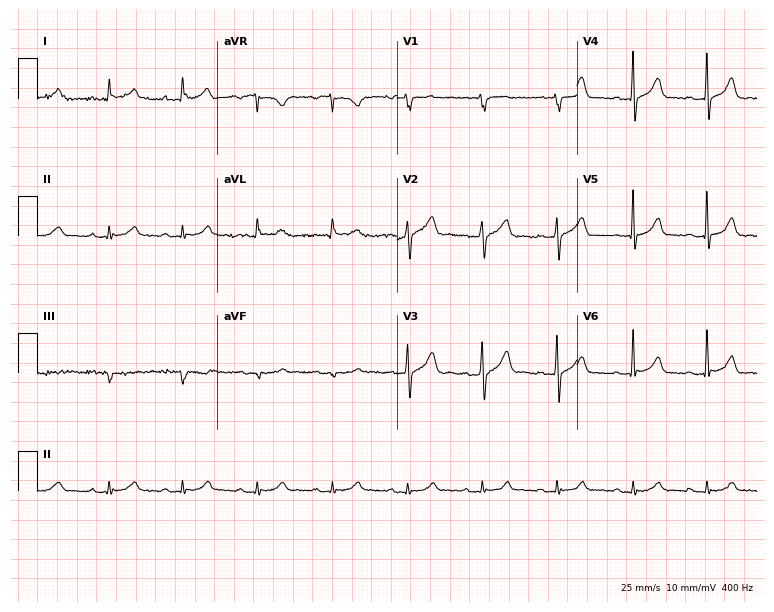
12-lead ECG (7.3-second recording at 400 Hz) from an 82-year-old male. Labelled as a normal ECG.